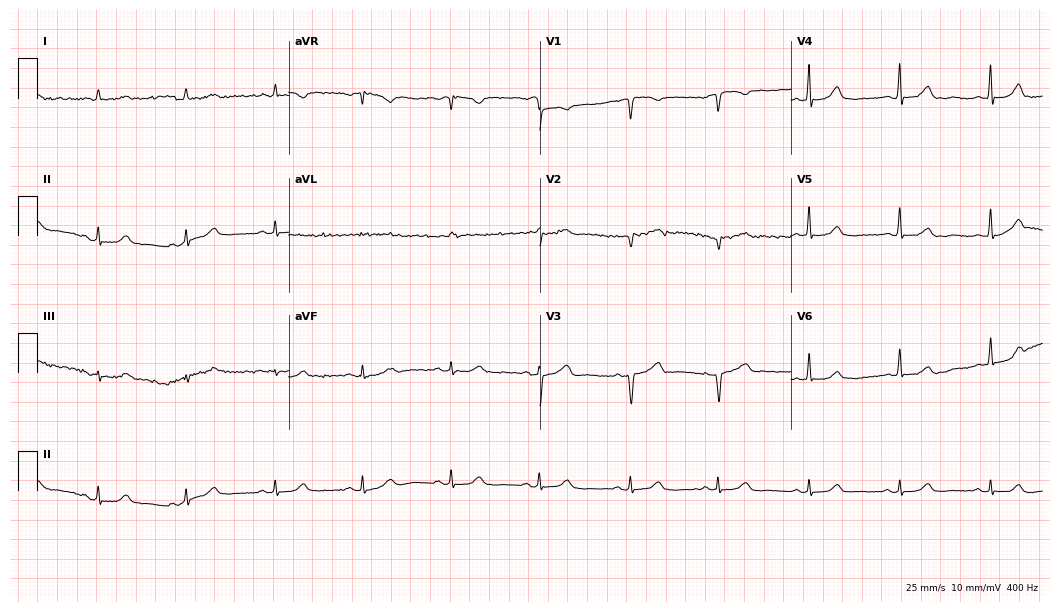
12-lead ECG from a woman, 55 years old. Recorded interpretation: within normal limits.